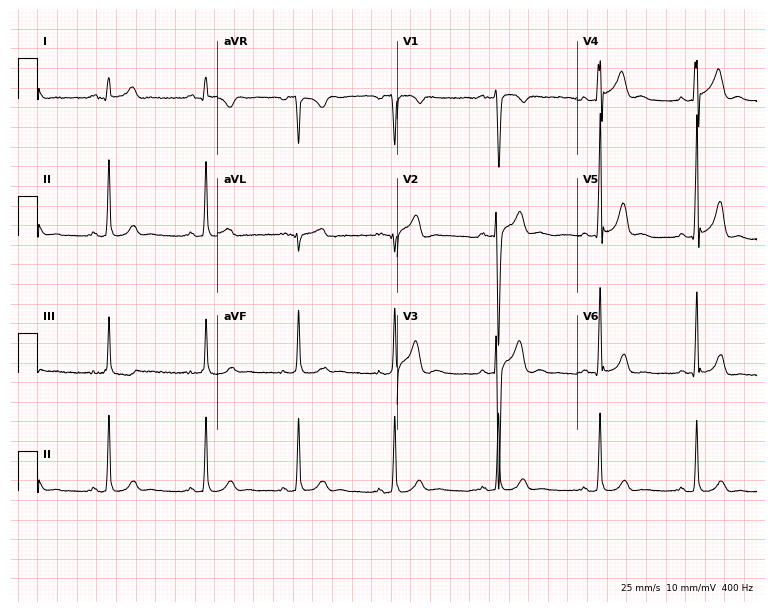
ECG — a male, 21 years old. Labelled as a normal ECG.